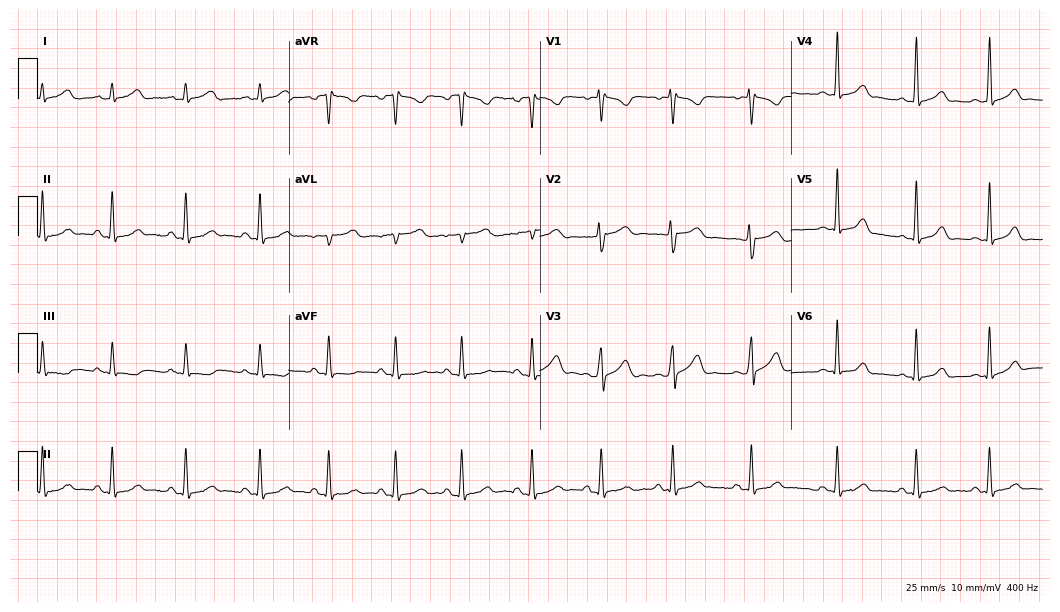
Electrocardiogram, a 24-year-old woman. Overall reading on record: normal ECG.